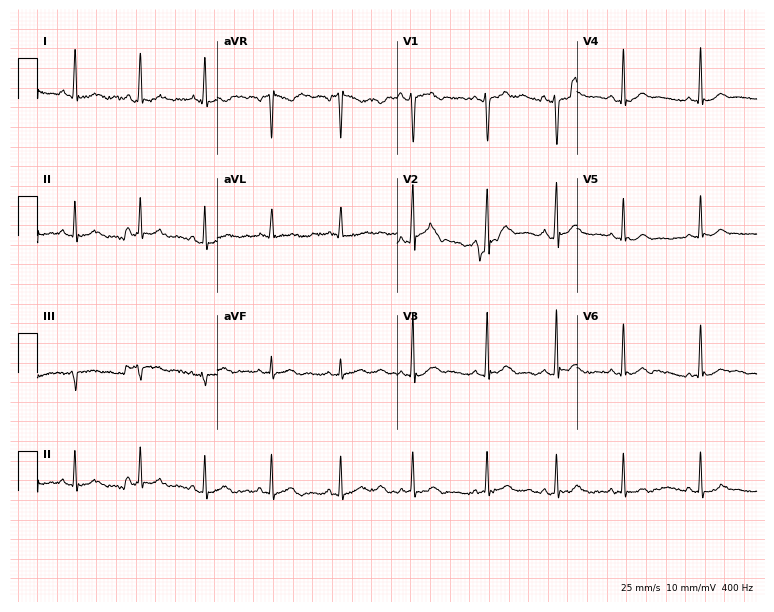
Standard 12-lead ECG recorded from a 26-year-old male (7.3-second recording at 400 Hz). Read as a normal ECG.